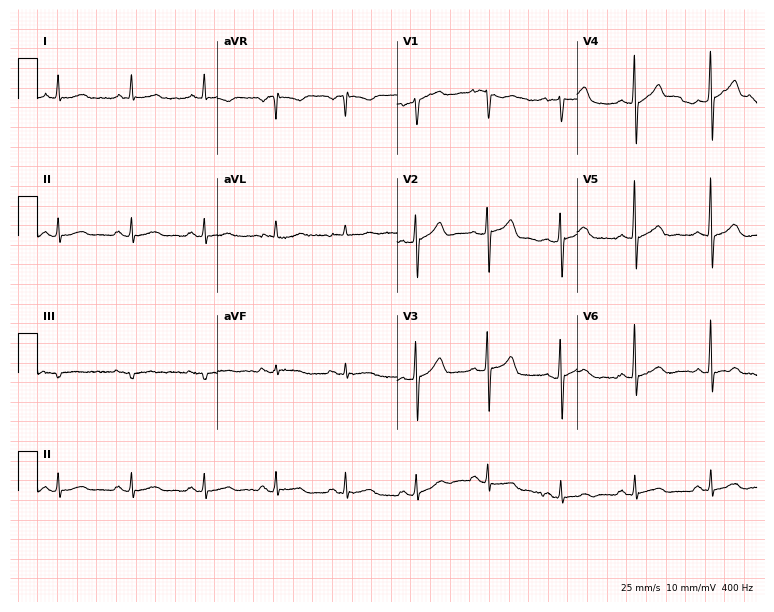
Standard 12-lead ECG recorded from a male, 68 years old. Read as a normal ECG.